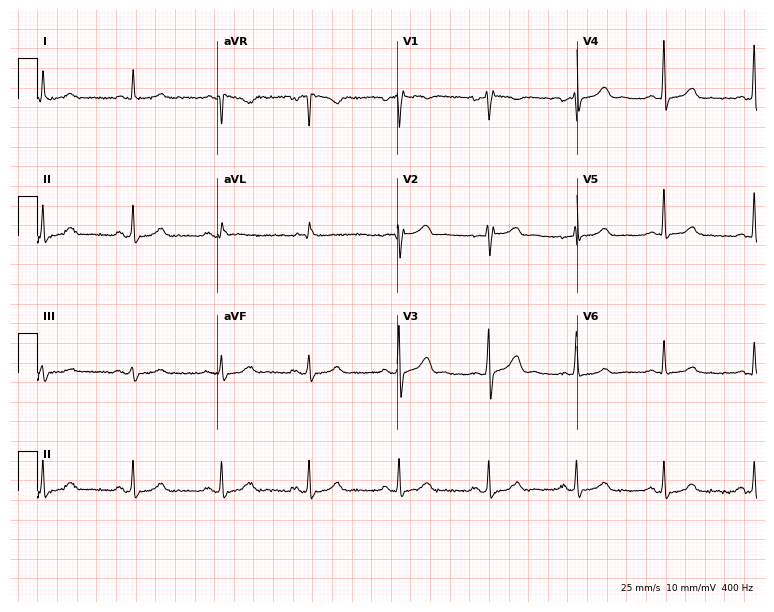
Electrocardiogram (7.3-second recording at 400 Hz), a 42-year-old male patient. Of the six screened findings (first-degree AV block, right bundle branch block (RBBB), left bundle branch block (LBBB), sinus bradycardia, atrial fibrillation (AF), sinus tachycardia), none is recorded. Other findings, if any, are not listed.